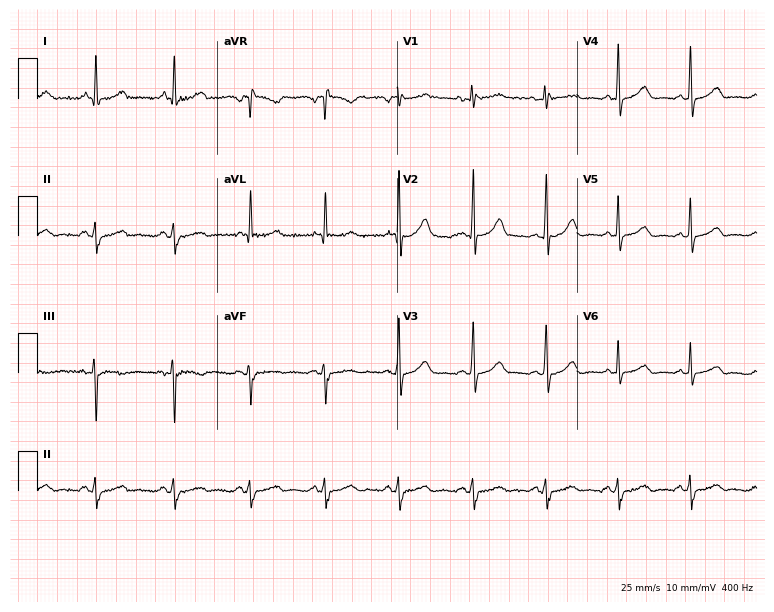
12-lead ECG from a 59-year-old female. Screened for six findings — first-degree AV block, right bundle branch block (RBBB), left bundle branch block (LBBB), sinus bradycardia, atrial fibrillation (AF), sinus tachycardia — none is recorded. Findings outside these six are not listed.